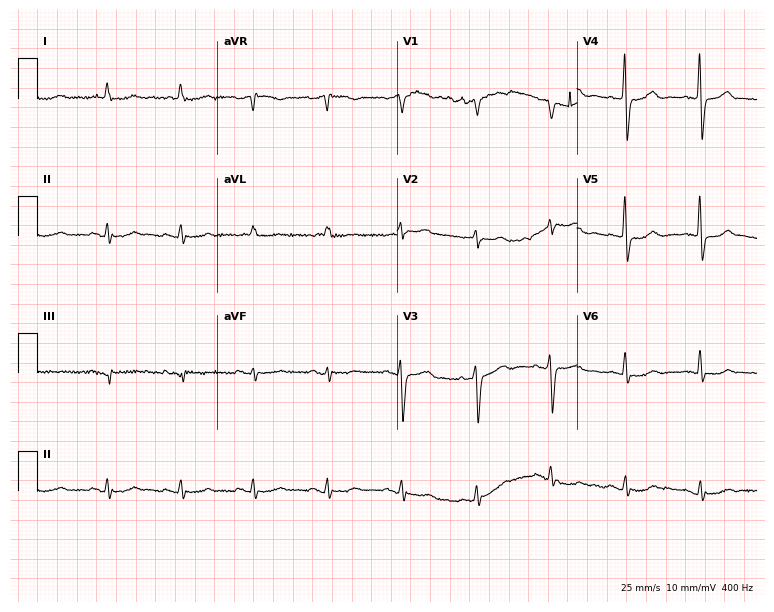
Standard 12-lead ECG recorded from a female, 85 years old. Read as a normal ECG.